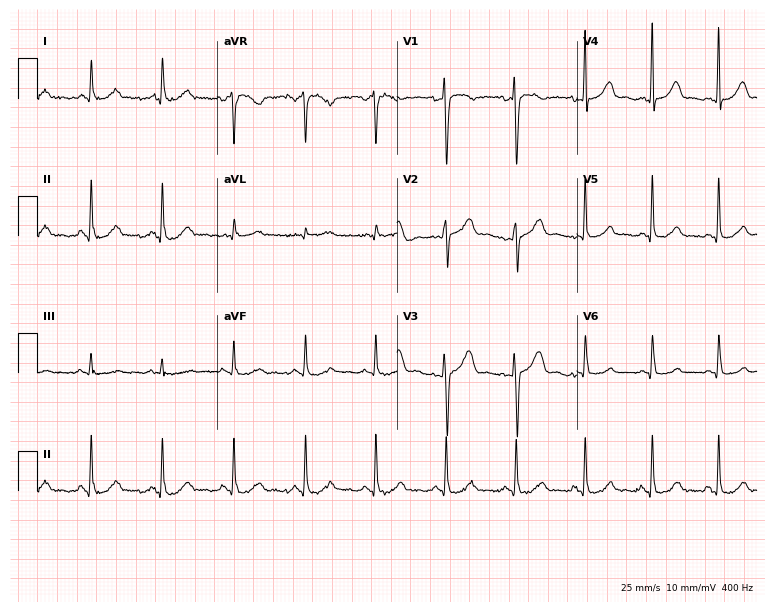
12-lead ECG from a 48-year-old woman (7.3-second recording at 400 Hz). Recorded interpretation: within normal limits.